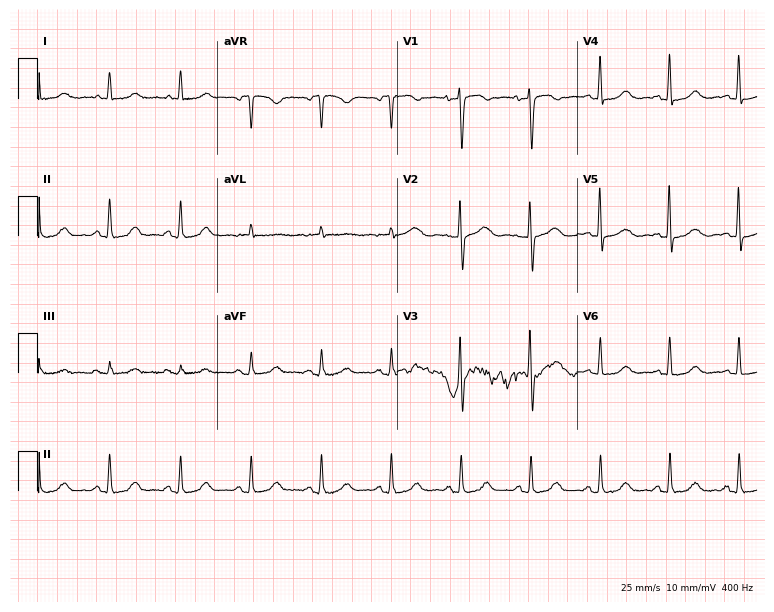
ECG — a 59-year-old woman. Screened for six findings — first-degree AV block, right bundle branch block, left bundle branch block, sinus bradycardia, atrial fibrillation, sinus tachycardia — none is recorded.